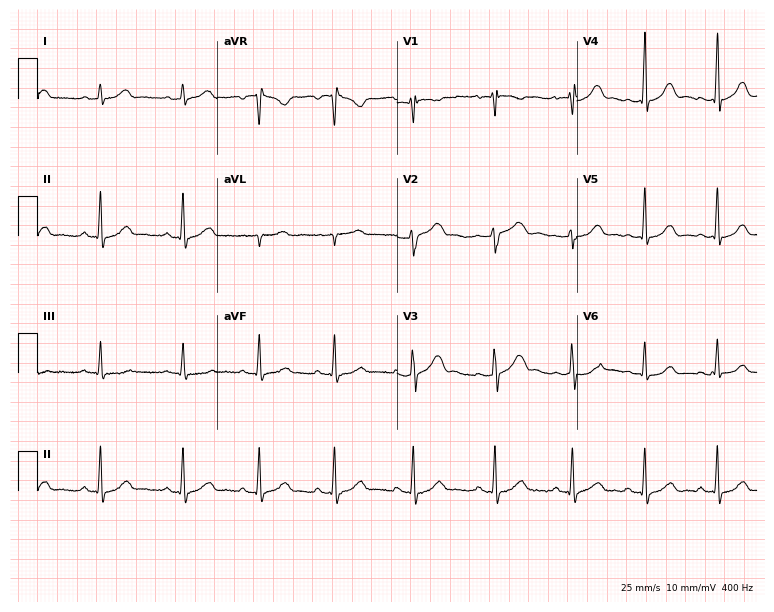
Electrocardiogram, a female patient, 28 years old. Of the six screened findings (first-degree AV block, right bundle branch block (RBBB), left bundle branch block (LBBB), sinus bradycardia, atrial fibrillation (AF), sinus tachycardia), none is recorded.